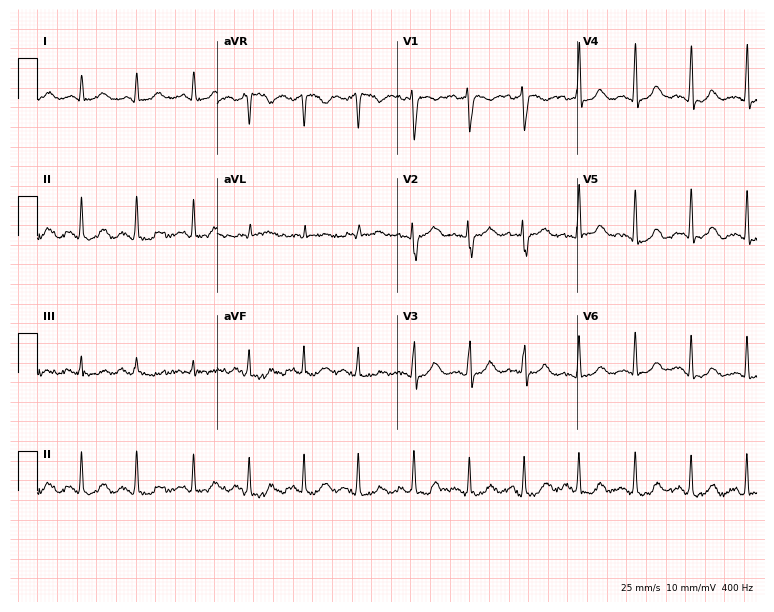
12-lead ECG from a 38-year-old woman. Findings include sinus tachycardia (a sinus rate of 100 beats per minute or more).